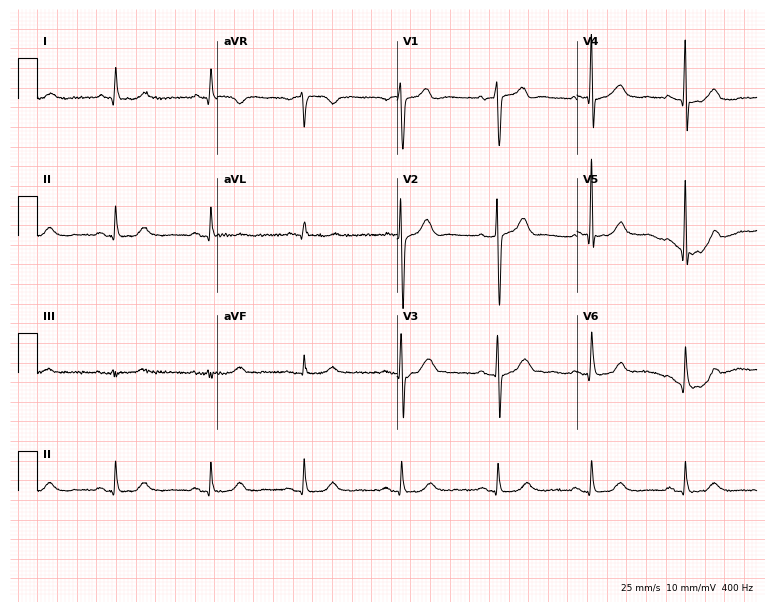
ECG (7.3-second recording at 400 Hz) — a man, 63 years old. Screened for six findings — first-degree AV block, right bundle branch block, left bundle branch block, sinus bradycardia, atrial fibrillation, sinus tachycardia — none is recorded.